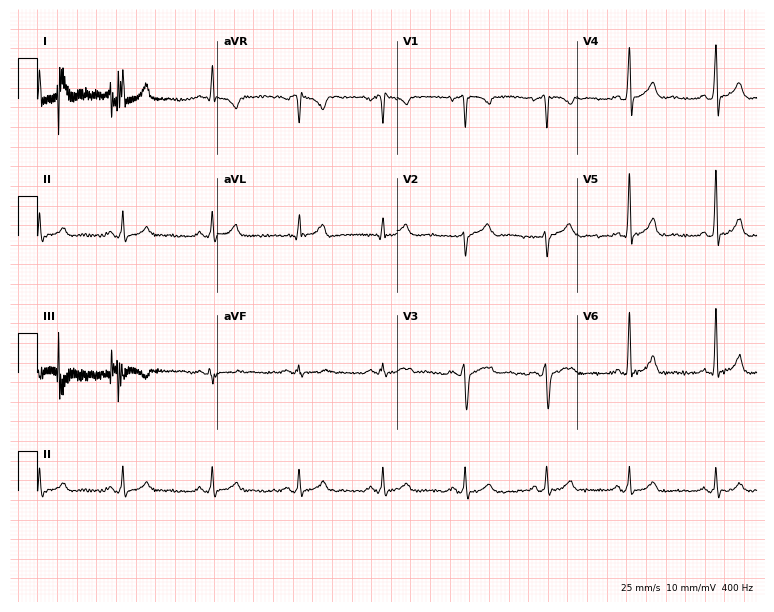
12-lead ECG from a 37-year-old male. Recorded interpretation: within normal limits.